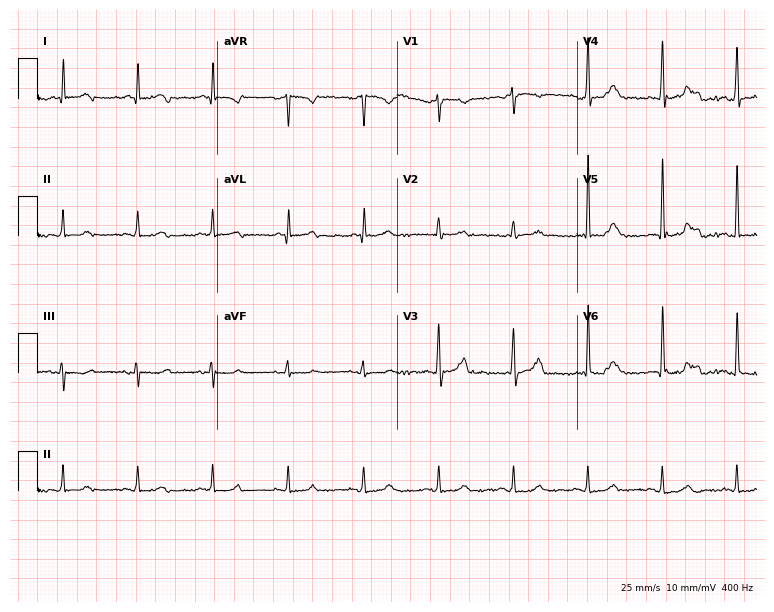
Standard 12-lead ECG recorded from a 62-year-old female. None of these six findings is recorded: first-degree AV block, right bundle branch block, left bundle branch block, sinus bradycardia, atrial fibrillation, sinus tachycardia. Only these six findings were labelled.